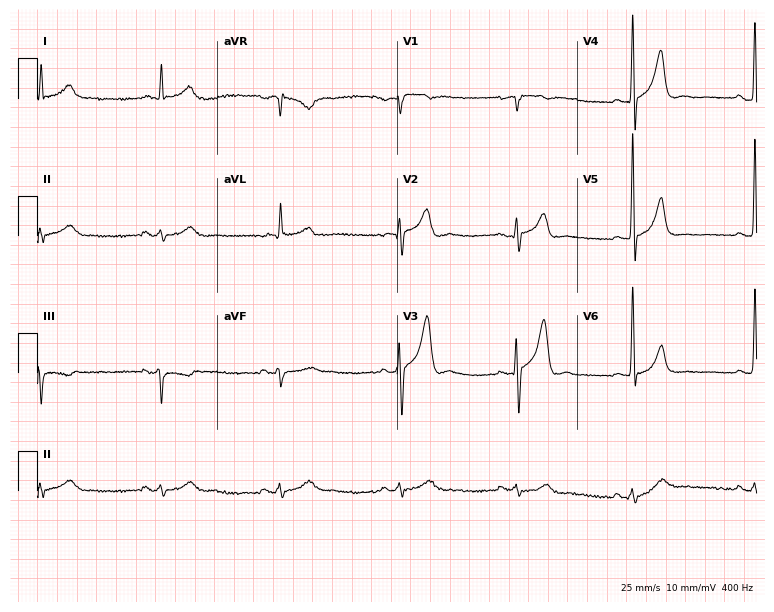
12-lead ECG from a male, 60 years old (7.3-second recording at 400 Hz). Shows sinus bradycardia (a sinus rate of 50 beats per minute or less).